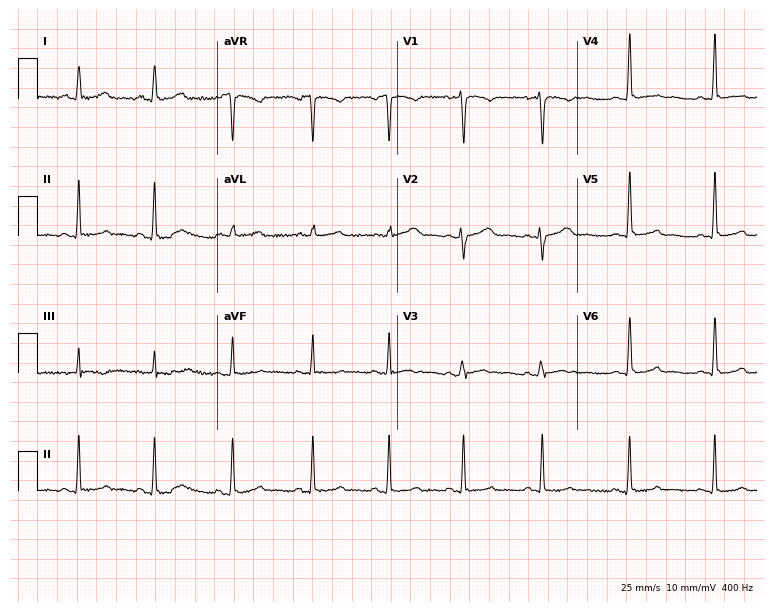
Resting 12-lead electrocardiogram. Patient: a female, 35 years old. None of these six findings is recorded: first-degree AV block, right bundle branch block, left bundle branch block, sinus bradycardia, atrial fibrillation, sinus tachycardia.